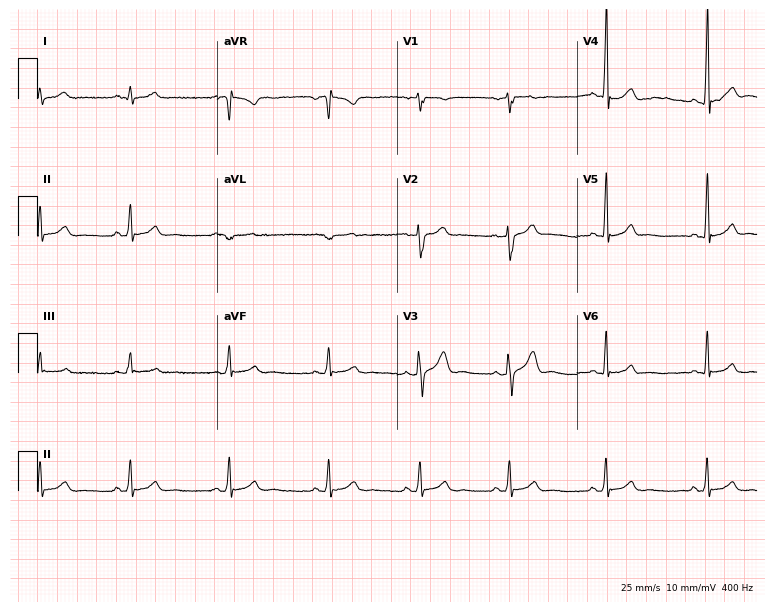
Standard 12-lead ECG recorded from an 18-year-old man. Read as a normal ECG.